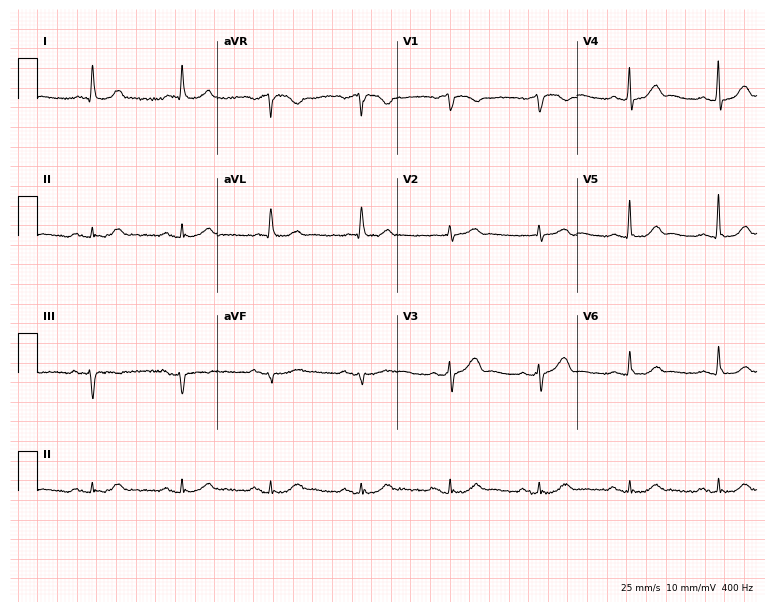
12-lead ECG from a woman, 78 years old. Recorded interpretation: within normal limits.